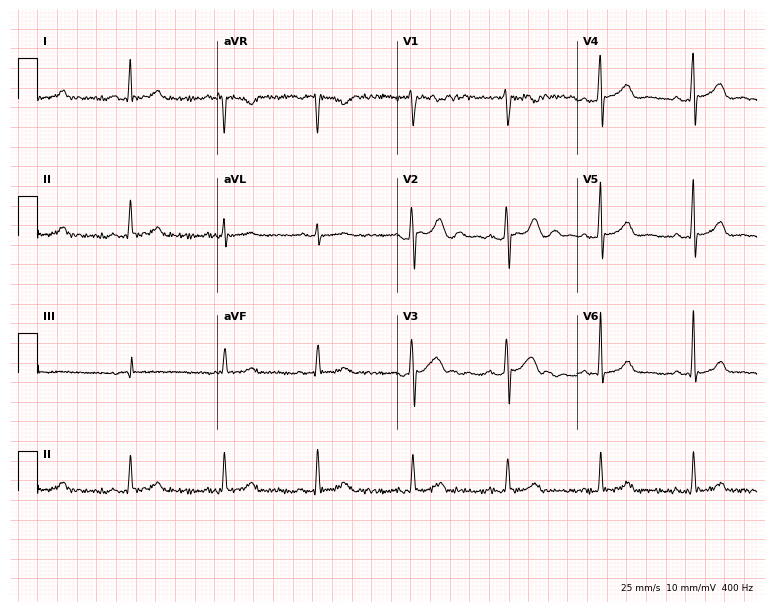
12-lead ECG from a female, 42 years old. No first-degree AV block, right bundle branch block, left bundle branch block, sinus bradycardia, atrial fibrillation or sinus tachycardia recorded for this tracing. Only these six findings were labelled.